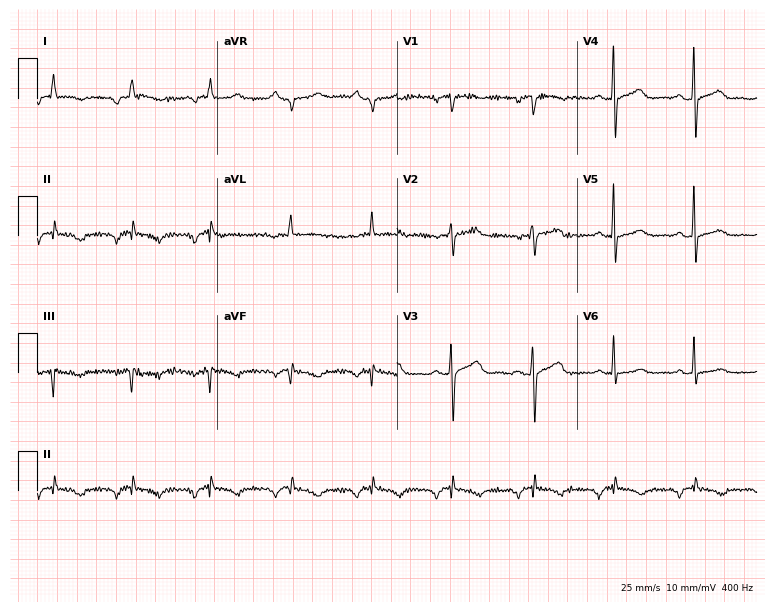
Electrocardiogram (7.3-second recording at 400 Hz), a male, 73 years old. Of the six screened findings (first-degree AV block, right bundle branch block, left bundle branch block, sinus bradycardia, atrial fibrillation, sinus tachycardia), none is recorded. Findings outside these six are not listed.